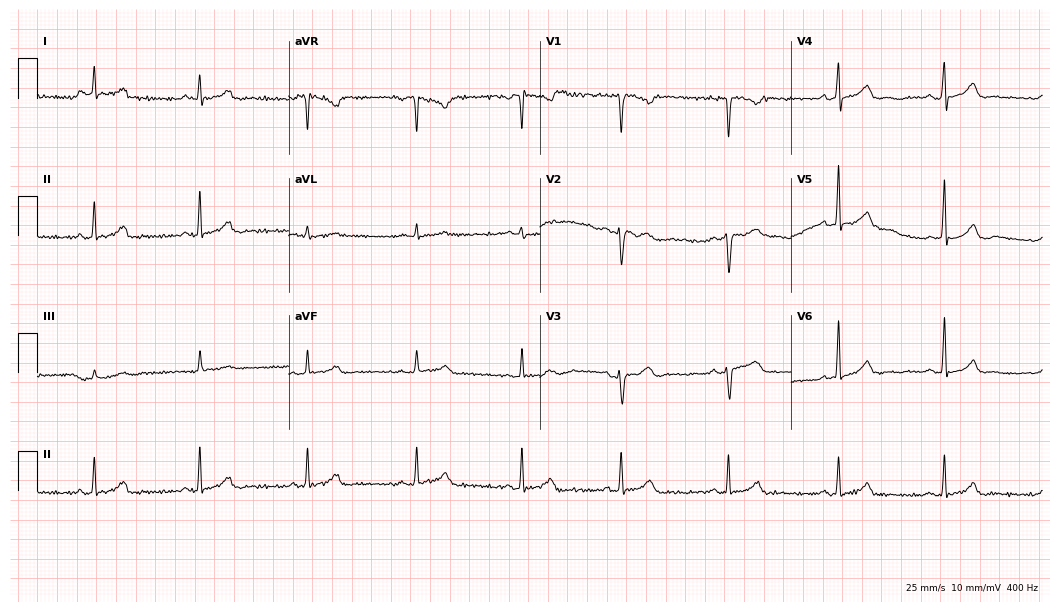
12-lead ECG from a man, 45 years old. Recorded interpretation: within normal limits.